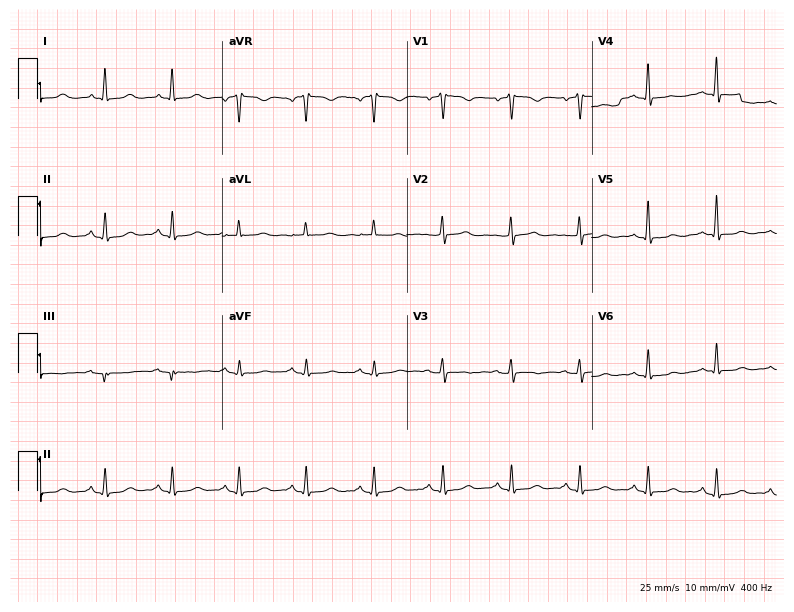
Resting 12-lead electrocardiogram (7.5-second recording at 400 Hz). Patient: a woman, 54 years old. Read as a normal ECG.